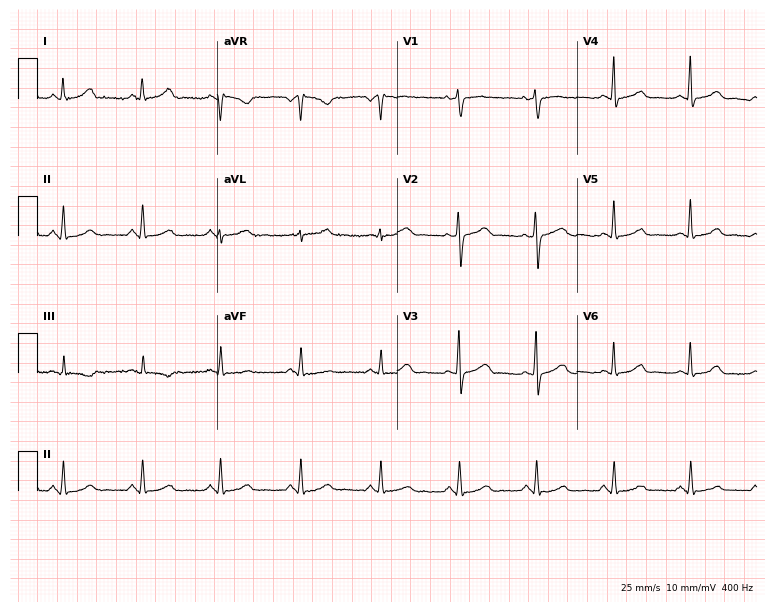
Resting 12-lead electrocardiogram. Patient: a female, 52 years old. Read as a normal ECG.